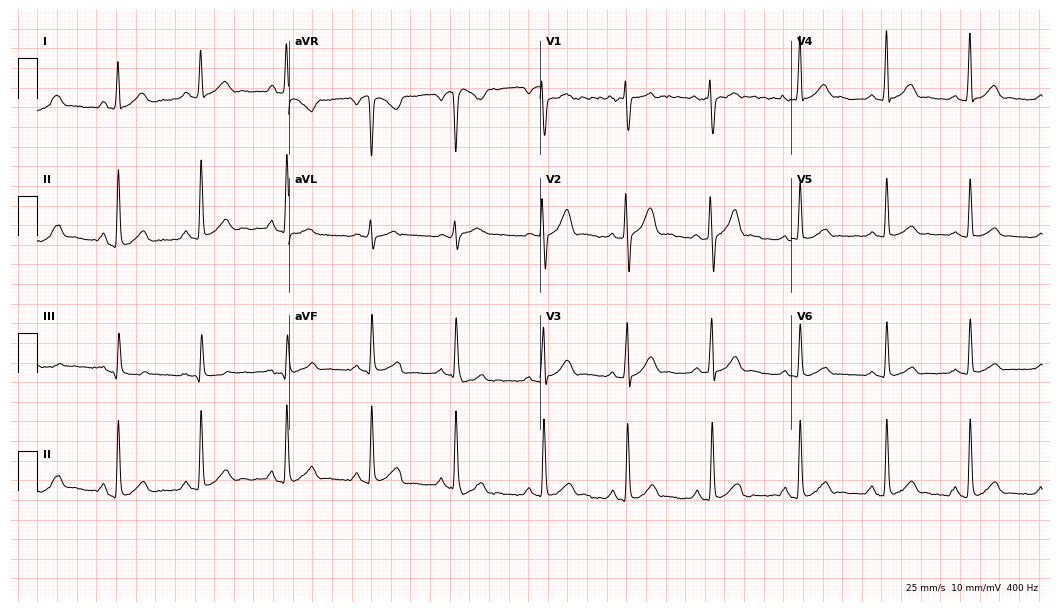
Standard 12-lead ECG recorded from a male patient, 36 years old. Read as a normal ECG.